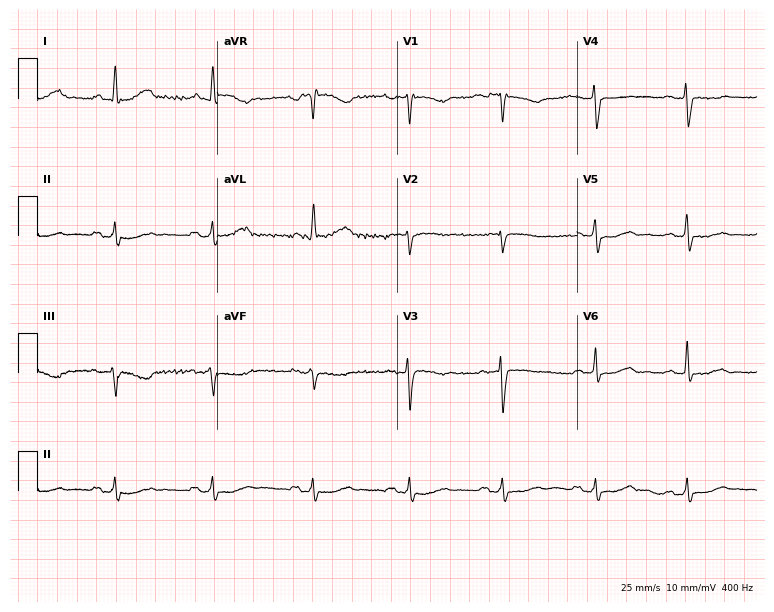
ECG (7.3-second recording at 400 Hz) — a 71-year-old woman. Screened for six findings — first-degree AV block, right bundle branch block, left bundle branch block, sinus bradycardia, atrial fibrillation, sinus tachycardia — none is recorded.